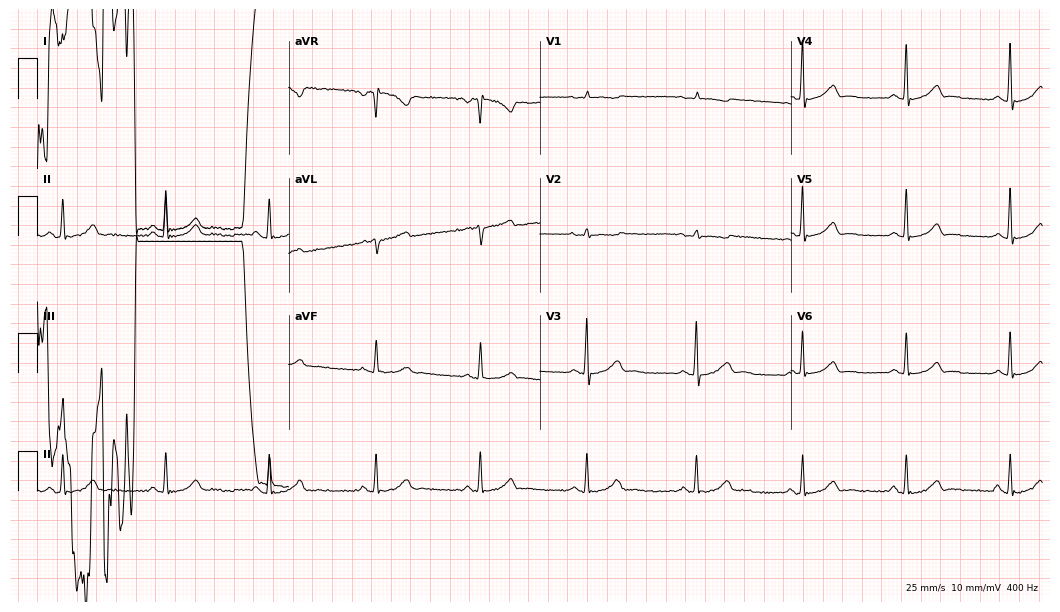
Electrocardiogram (10.2-second recording at 400 Hz), a 56-year-old woman. Of the six screened findings (first-degree AV block, right bundle branch block (RBBB), left bundle branch block (LBBB), sinus bradycardia, atrial fibrillation (AF), sinus tachycardia), none is recorded.